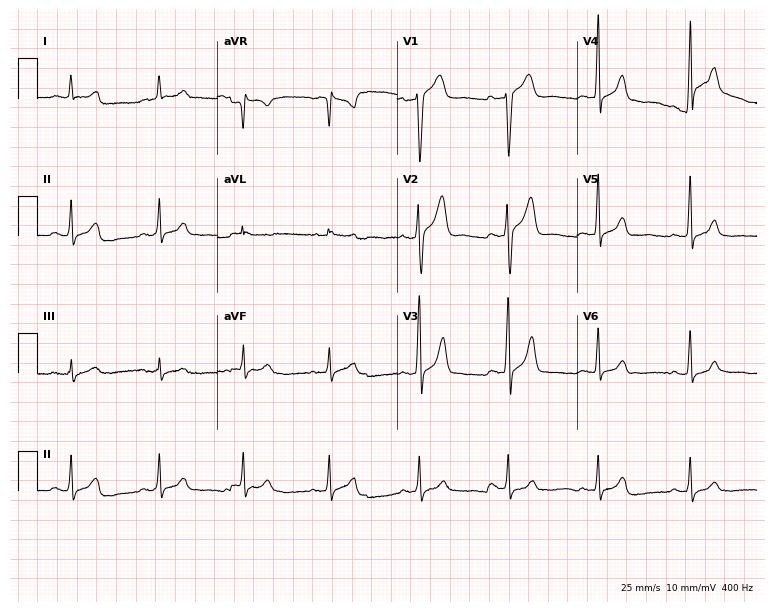
ECG — a 57-year-old man. Labelled as a normal ECG.